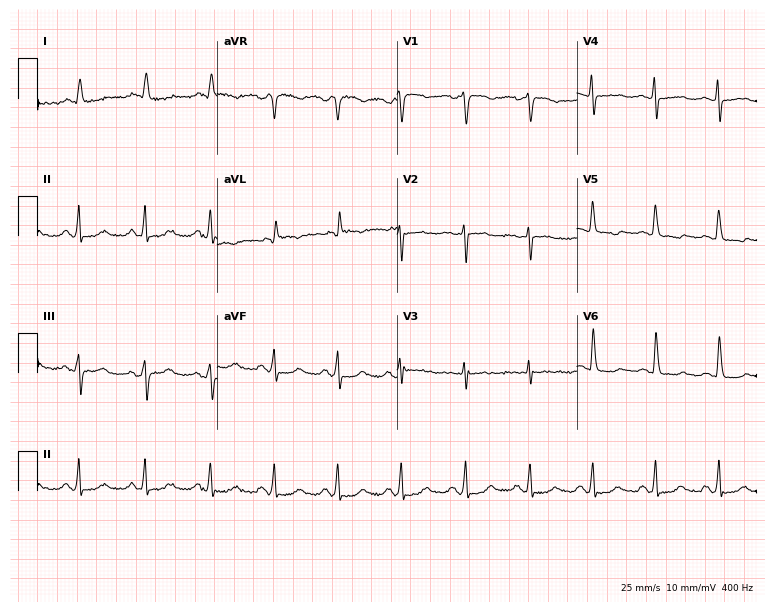
Resting 12-lead electrocardiogram. Patient: a 68-year-old female. None of these six findings is recorded: first-degree AV block, right bundle branch block, left bundle branch block, sinus bradycardia, atrial fibrillation, sinus tachycardia.